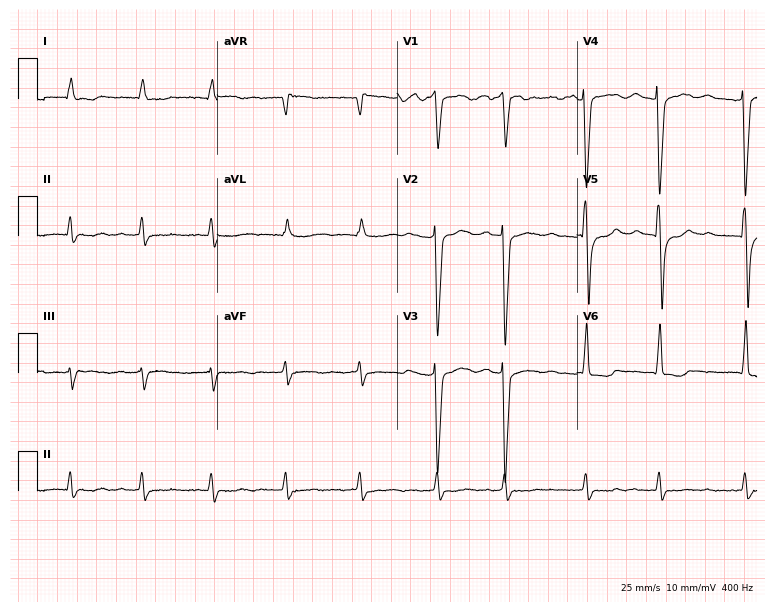
12-lead ECG from a woman, 83 years old. Shows atrial fibrillation.